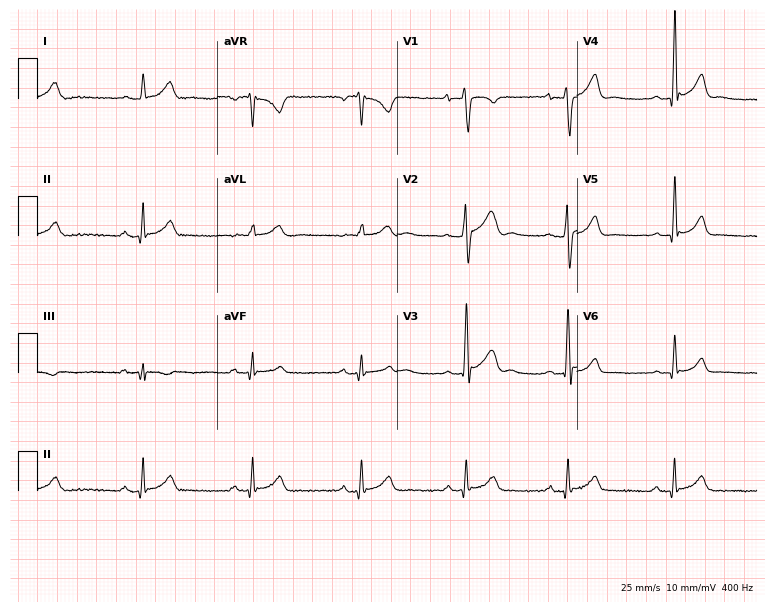
Resting 12-lead electrocardiogram (7.3-second recording at 400 Hz). Patient: a 23-year-old male. Read as a normal ECG.